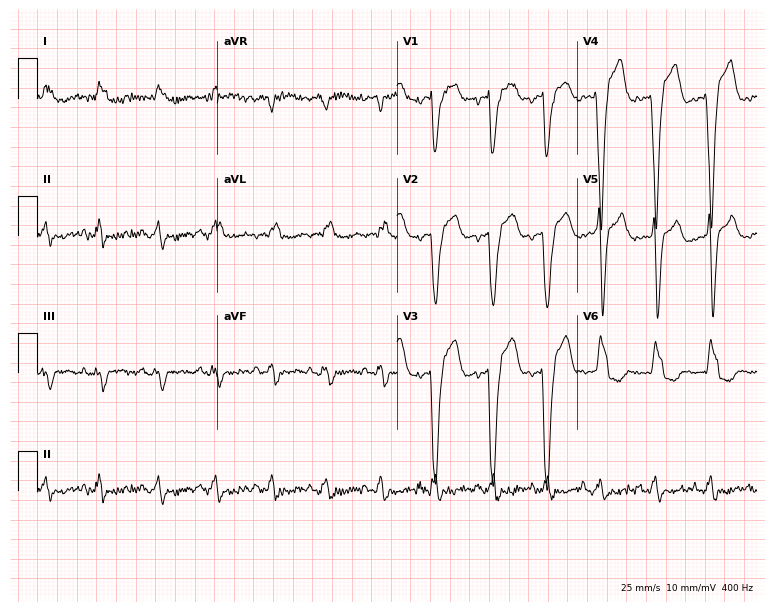
Resting 12-lead electrocardiogram. Patient: an 80-year-old man. The tracing shows left bundle branch block.